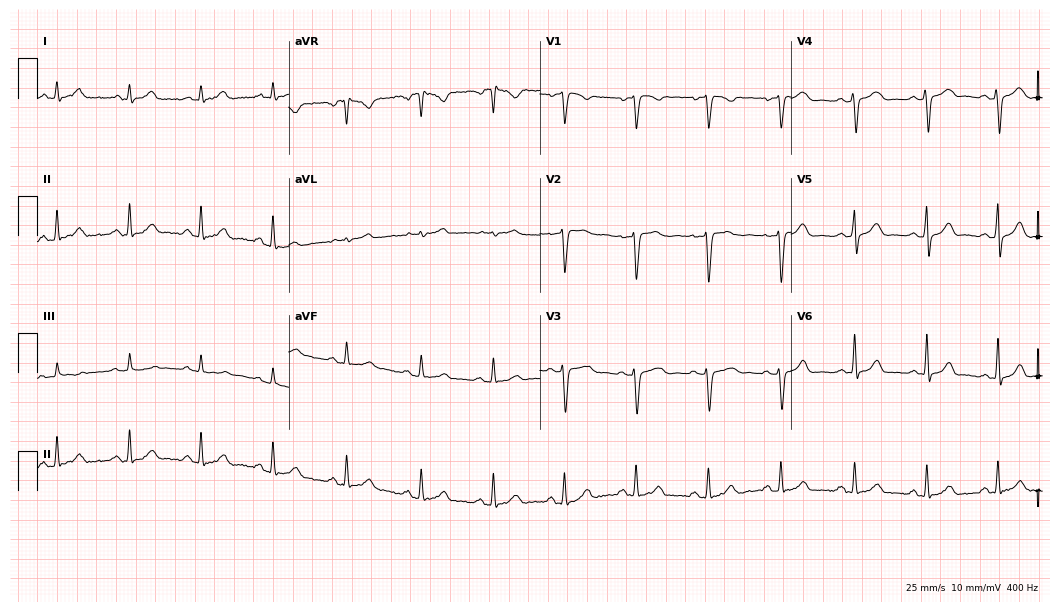
Resting 12-lead electrocardiogram. Patient: a 25-year-old female. Read as a normal ECG.